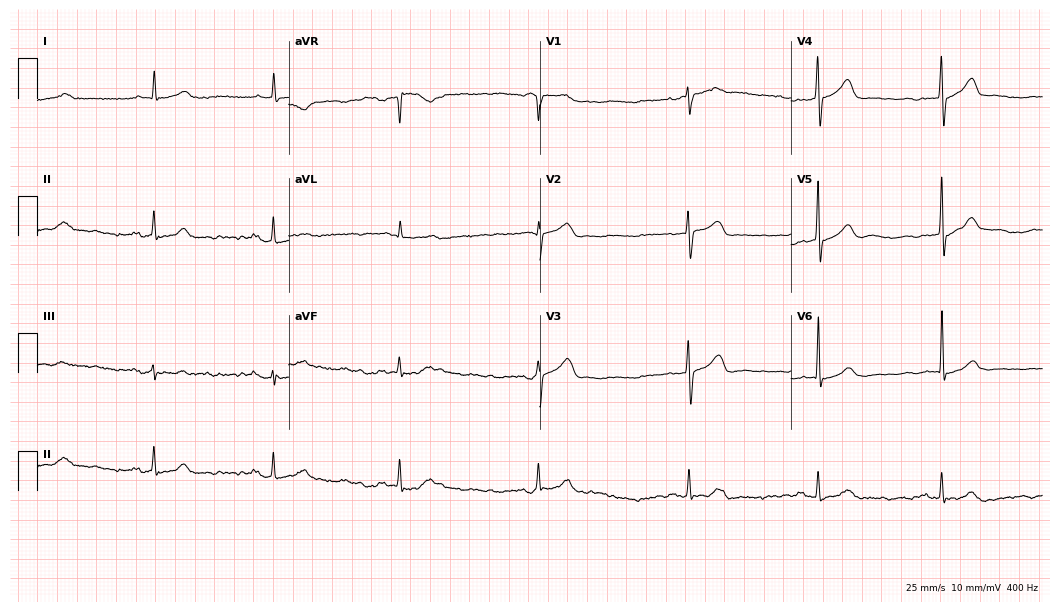
12-lead ECG from a 78-year-old male patient (10.2-second recording at 400 Hz). No first-degree AV block, right bundle branch block (RBBB), left bundle branch block (LBBB), sinus bradycardia, atrial fibrillation (AF) or sinus tachycardia recorded for this tracing.